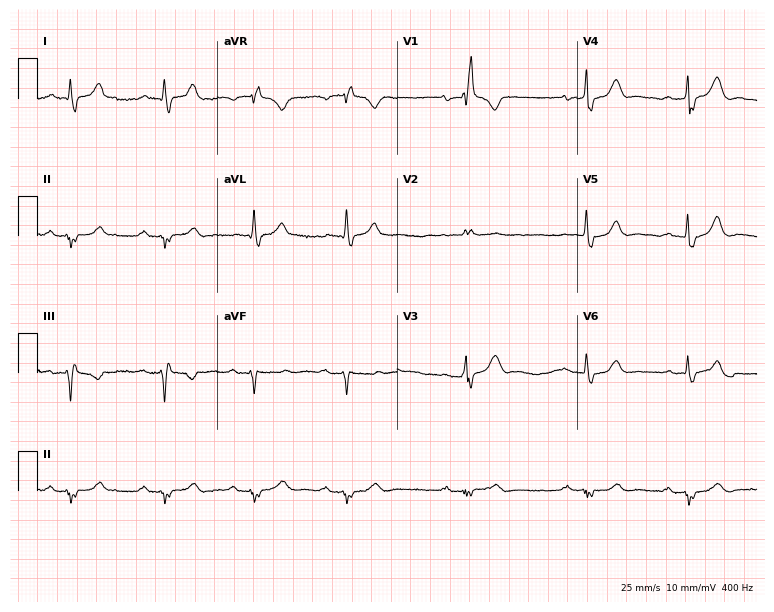
Electrocardiogram, a man, 65 years old. Of the six screened findings (first-degree AV block, right bundle branch block (RBBB), left bundle branch block (LBBB), sinus bradycardia, atrial fibrillation (AF), sinus tachycardia), none is recorded. Findings outside these six are not listed.